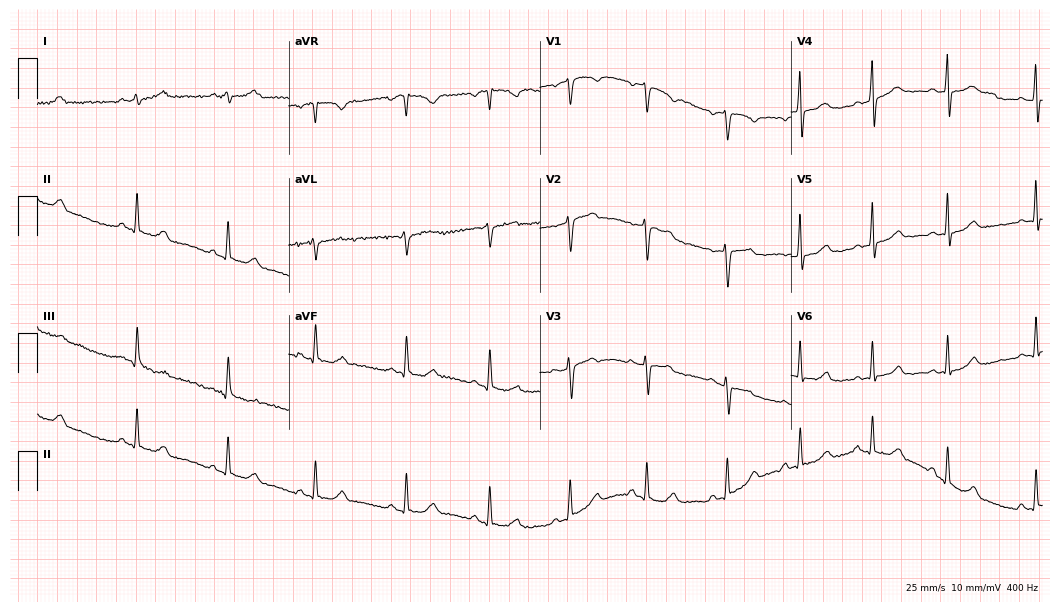
Standard 12-lead ECG recorded from a 40-year-old female (10.2-second recording at 400 Hz). Read as a normal ECG.